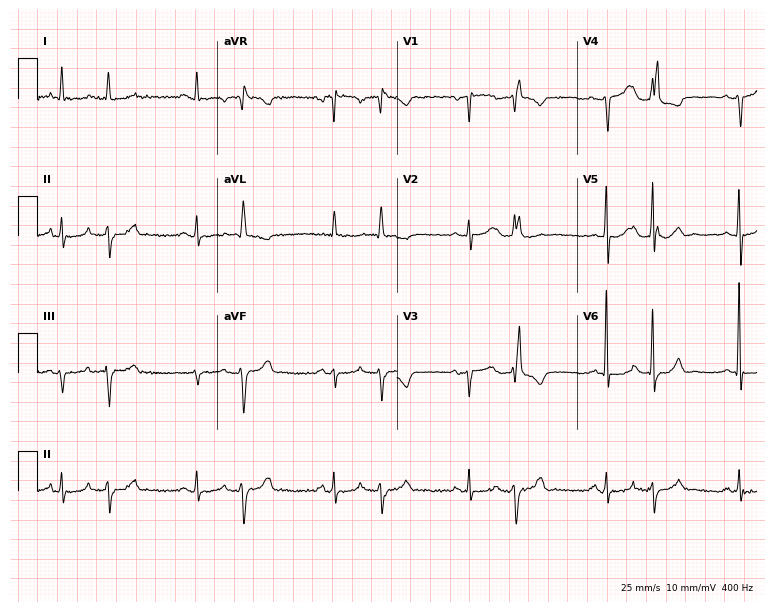
12-lead ECG from a 75-year-old woman. Screened for six findings — first-degree AV block, right bundle branch block, left bundle branch block, sinus bradycardia, atrial fibrillation, sinus tachycardia — none is recorded. Findings outside these six are not listed.